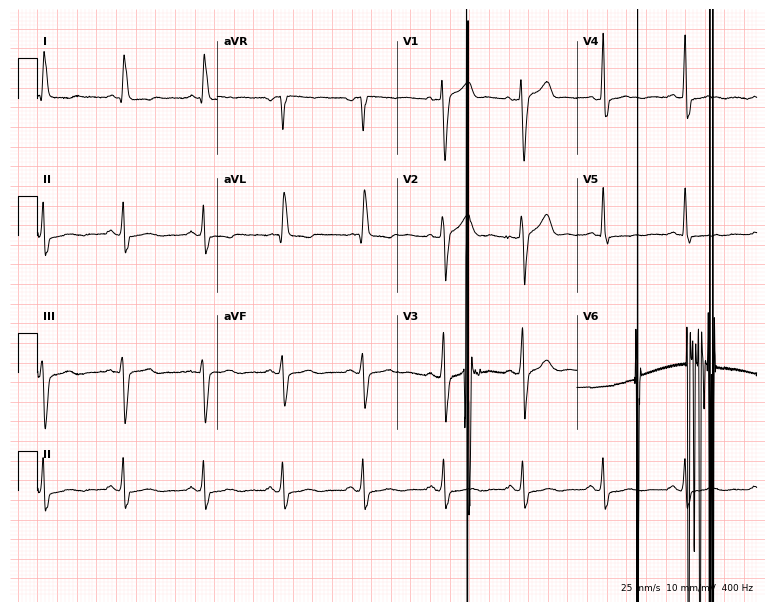
12-lead ECG from a male, 73 years old (7.3-second recording at 400 Hz). No first-degree AV block, right bundle branch block (RBBB), left bundle branch block (LBBB), sinus bradycardia, atrial fibrillation (AF) or sinus tachycardia recorded for this tracing.